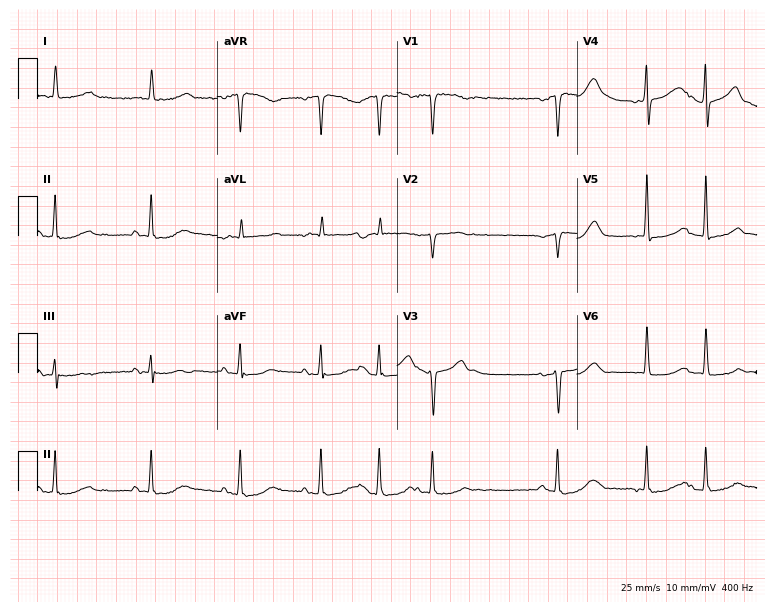
Electrocardiogram (7.3-second recording at 400 Hz), a male patient, 81 years old. Of the six screened findings (first-degree AV block, right bundle branch block (RBBB), left bundle branch block (LBBB), sinus bradycardia, atrial fibrillation (AF), sinus tachycardia), none is recorded. Only these six findings were labelled.